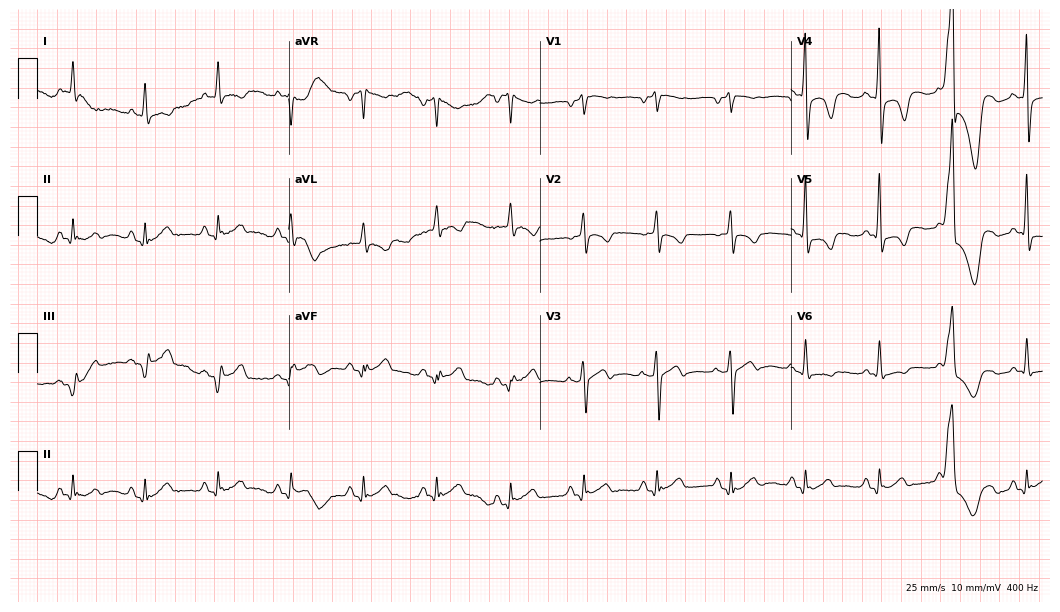
Standard 12-lead ECG recorded from a male, 66 years old (10.2-second recording at 400 Hz). None of these six findings is recorded: first-degree AV block, right bundle branch block (RBBB), left bundle branch block (LBBB), sinus bradycardia, atrial fibrillation (AF), sinus tachycardia. Other findings, if any, are not listed.